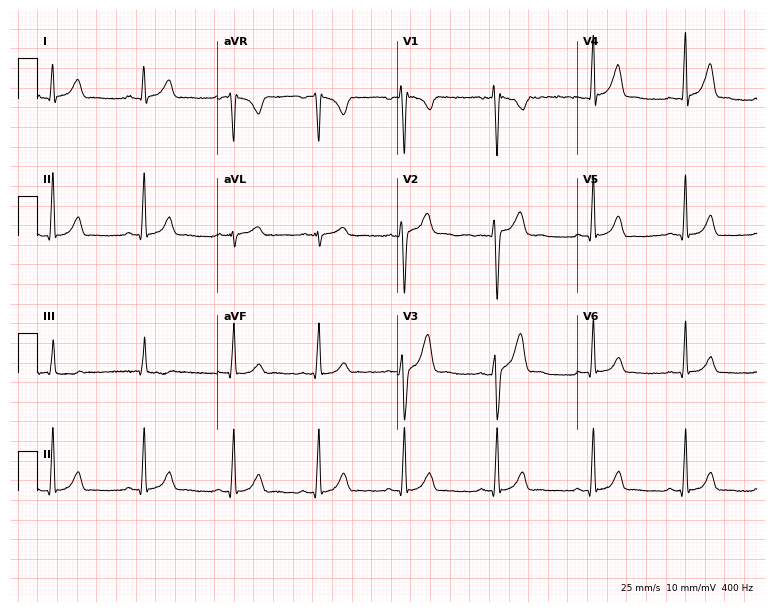
ECG (7.3-second recording at 400 Hz) — a 22-year-old male patient. Labelled as a normal ECG.